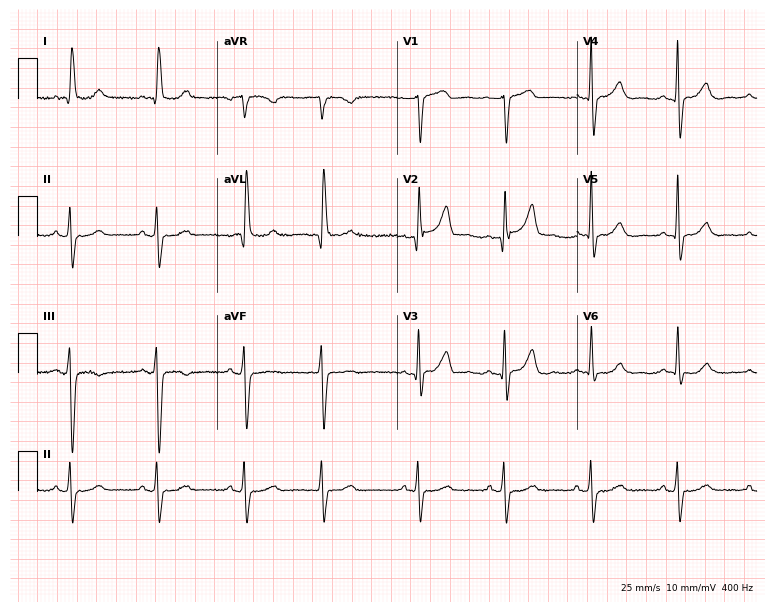
12-lead ECG from a woman, 68 years old. Screened for six findings — first-degree AV block, right bundle branch block, left bundle branch block, sinus bradycardia, atrial fibrillation, sinus tachycardia — none is recorded. Findings outside these six are not listed.